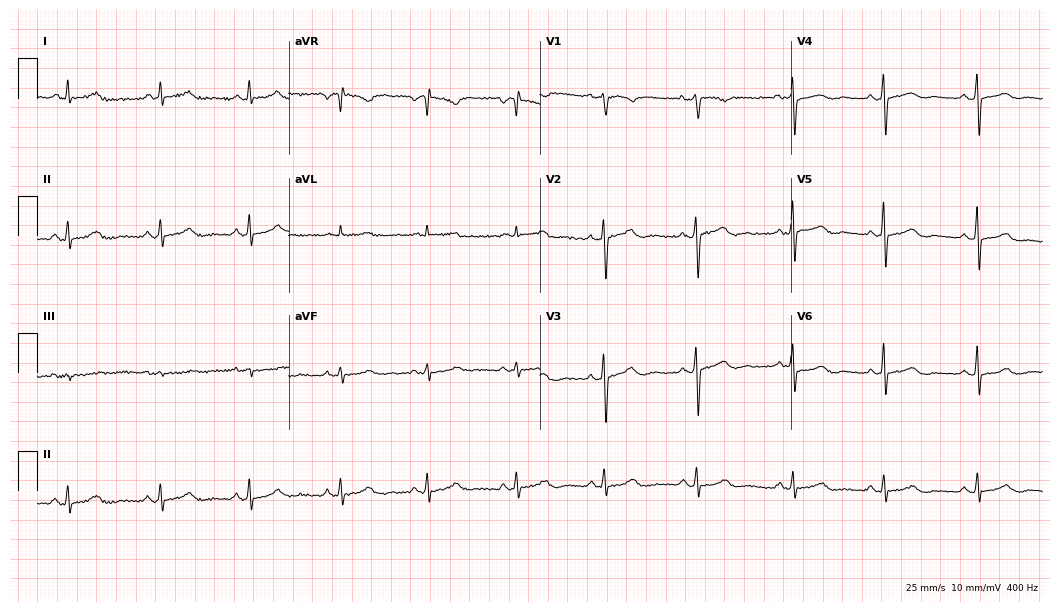
12-lead ECG from a 50-year-old female patient. No first-degree AV block, right bundle branch block, left bundle branch block, sinus bradycardia, atrial fibrillation or sinus tachycardia recorded for this tracing.